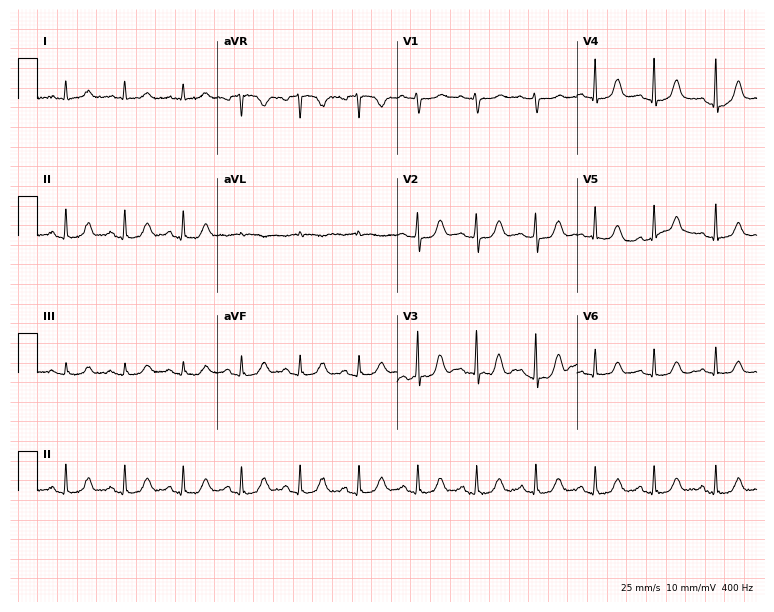
Resting 12-lead electrocardiogram (7.3-second recording at 400 Hz). Patient: a woman, 69 years old. Read as a normal ECG.